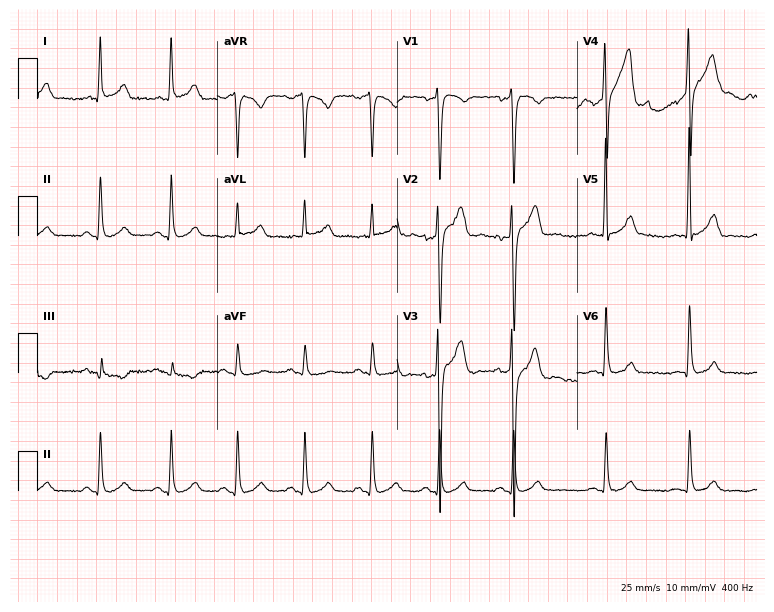
12-lead ECG from a male, 44 years old (7.3-second recording at 400 Hz). Recorded interpretation: within normal limits.